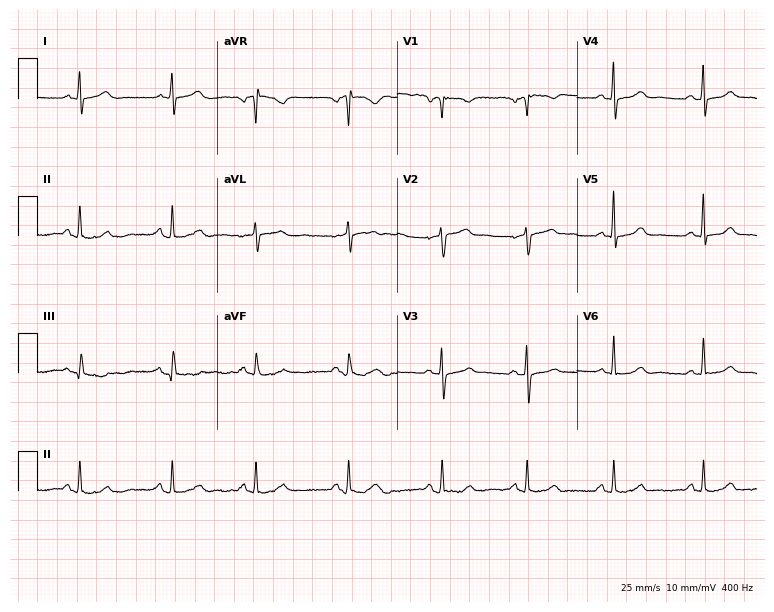
Electrocardiogram (7.3-second recording at 400 Hz), a 46-year-old female. Overall reading on record: normal ECG.